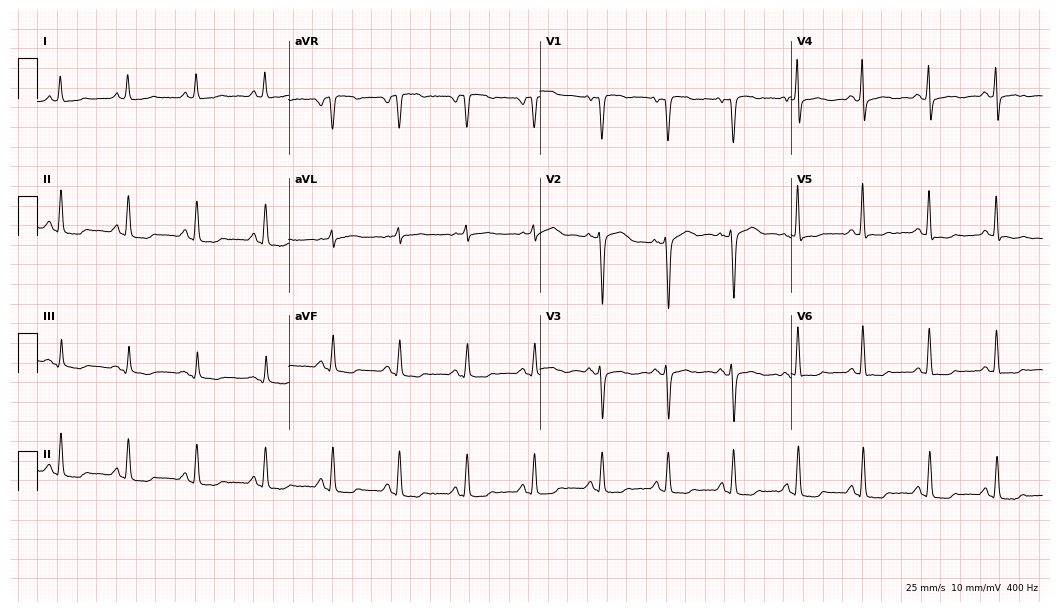
ECG — a 54-year-old woman. Screened for six findings — first-degree AV block, right bundle branch block, left bundle branch block, sinus bradycardia, atrial fibrillation, sinus tachycardia — none is recorded. Only these six findings were labelled.